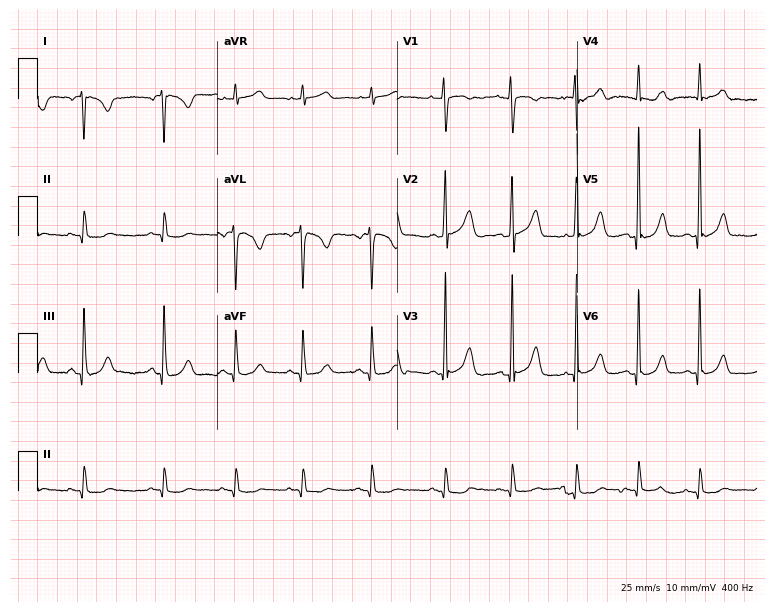
Standard 12-lead ECG recorded from a 34-year-old female (7.3-second recording at 400 Hz). None of these six findings is recorded: first-degree AV block, right bundle branch block (RBBB), left bundle branch block (LBBB), sinus bradycardia, atrial fibrillation (AF), sinus tachycardia.